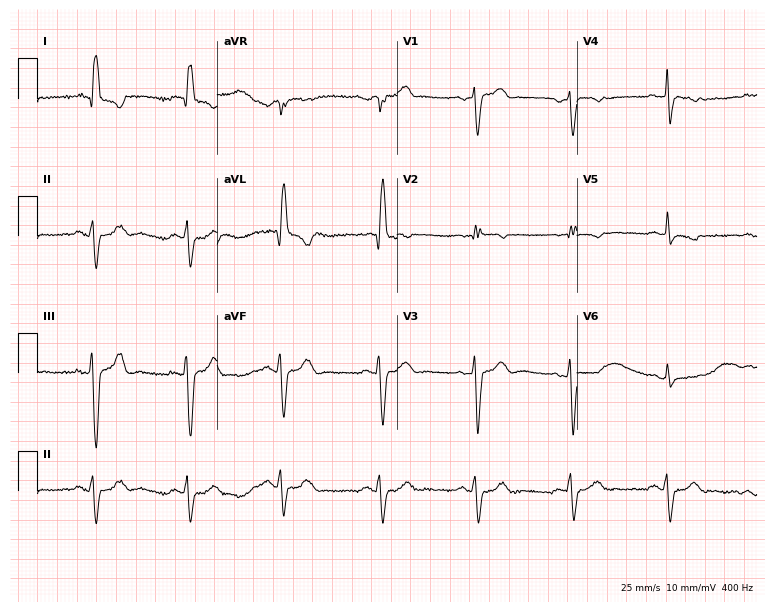
12-lead ECG from a 79-year-old female patient. No first-degree AV block, right bundle branch block, left bundle branch block, sinus bradycardia, atrial fibrillation or sinus tachycardia recorded for this tracing. Only these six findings were labelled.